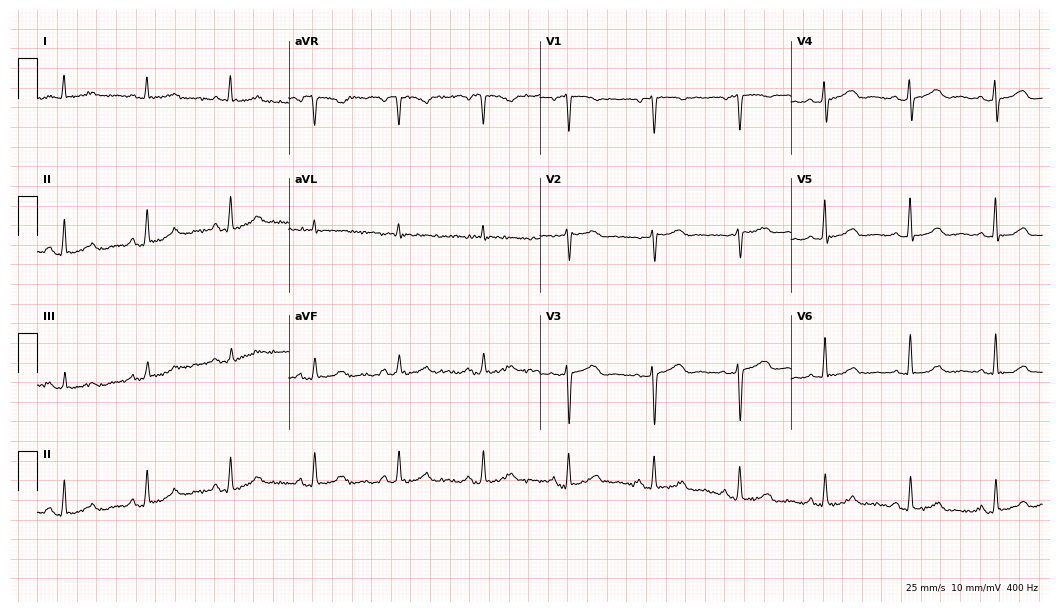
12-lead ECG (10.2-second recording at 400 Hz) from a female, 70 years old. Screened for six findings — first-degree AV block, right bundle branch block, left bundle branch block, sinus bradycardia, atrial fibrillation, sinus tachycardia — none is recorded. Only these six findings were labelled.